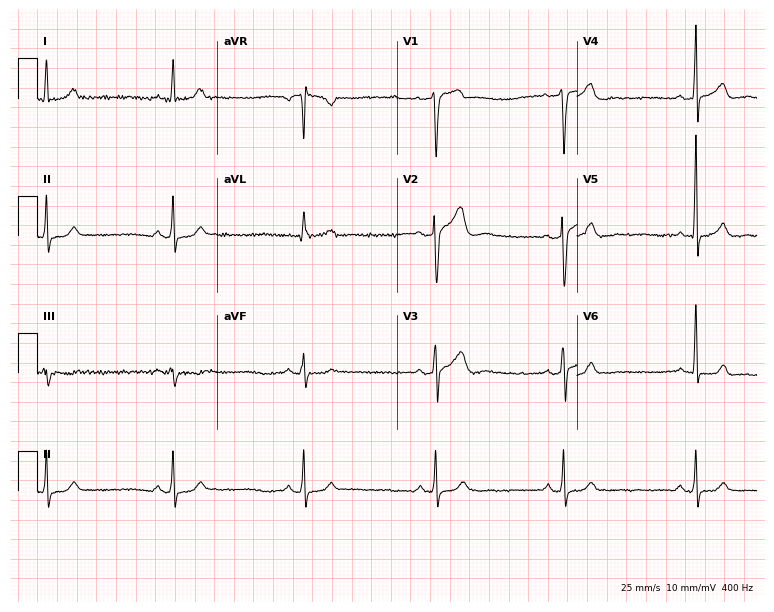
Electrocardiogram (7.3-second recording at 400 Hz), a 50-year-old male. Interpretation includes sinus bradycardia (a sinus rate of 50 beats per minute or less).